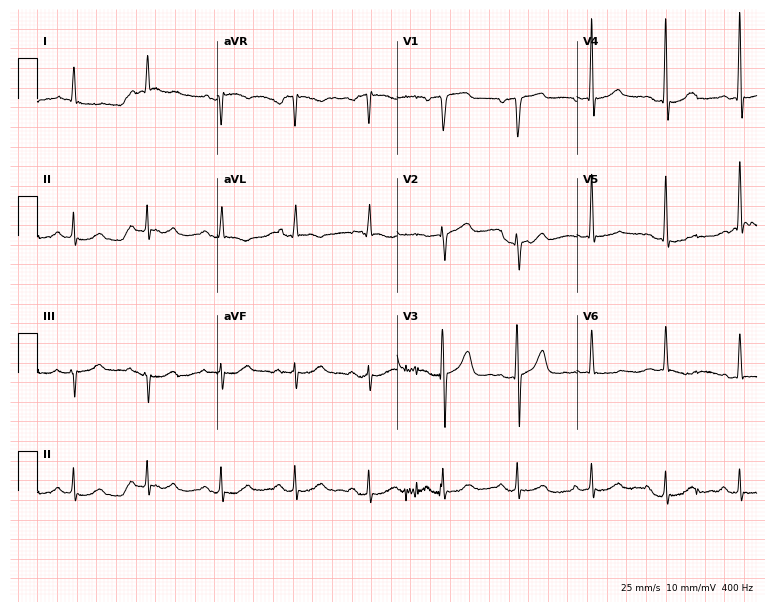
12-lead ECG from a male, 83 years old. Screened for six findings — first-degree AV block, right bundle branch block (RBBB), left bundle branch block (LBBB), sinus bradycardia, atrial fibrillation (AF), sinus tachycardia — none is recorded. Other findings, if any, are not listed.